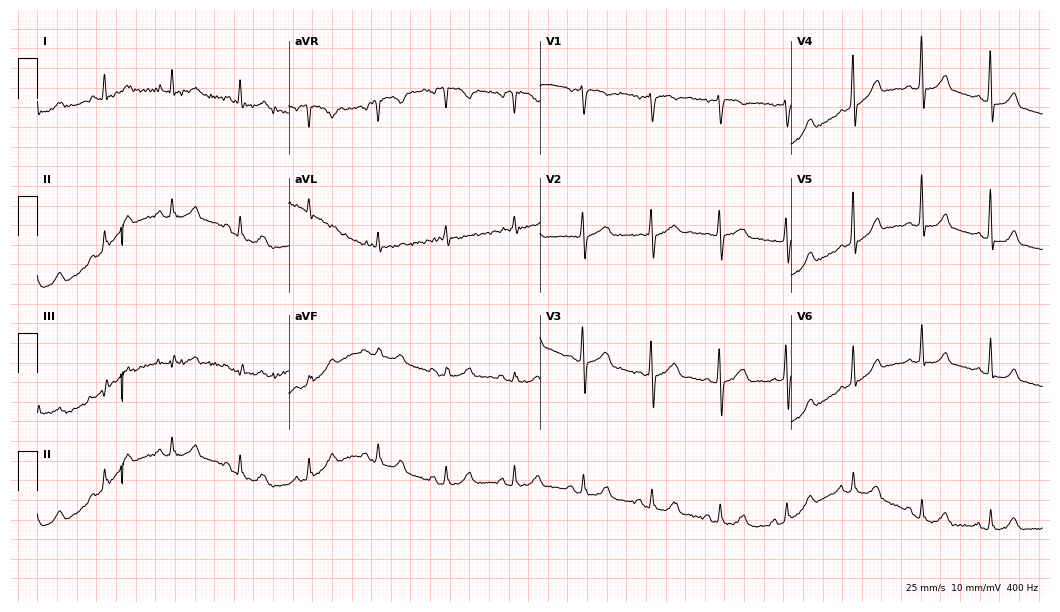
ECG (10.2-second recording at 400 Hz) — a woman, 52 years old. Screened for six findings — first-degree AV block, right bundle branch block, left bundle branch block, sinus bradycardia, atrial fibrillation, sinus tachycardia — none is recorded. Other findings, if any, are not listed.